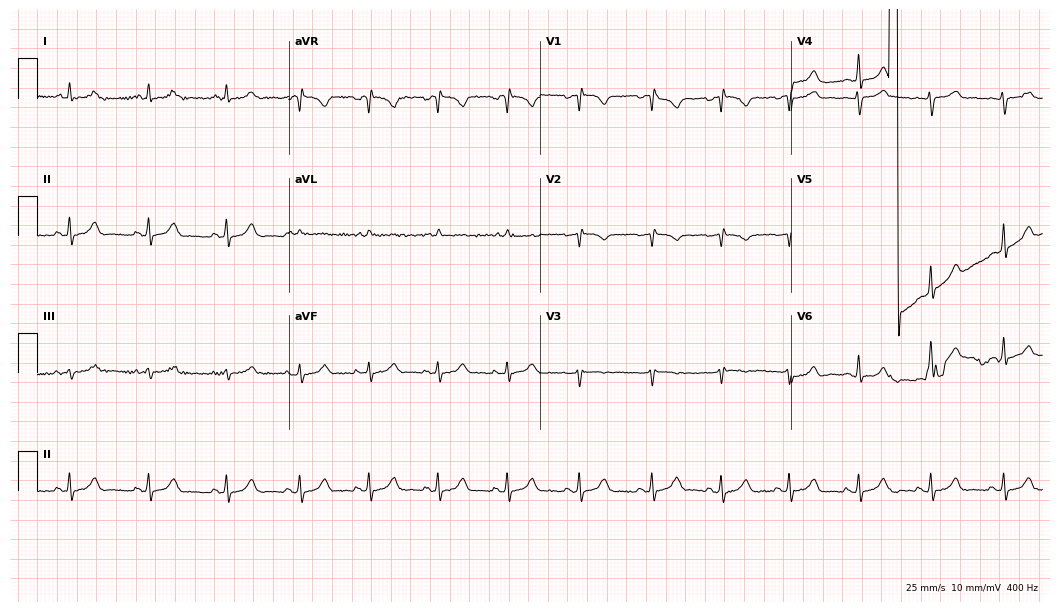
Resting 12-lead electrocardiogram (10.2-second recording at 400 Hz). Patient: a female, 41 years old. None of these six findings is recorded: first-degree AV block, right bundle branch block, left bundle branch block, sinus bradycardia, atrial fibrillation, sinus tachycardia.